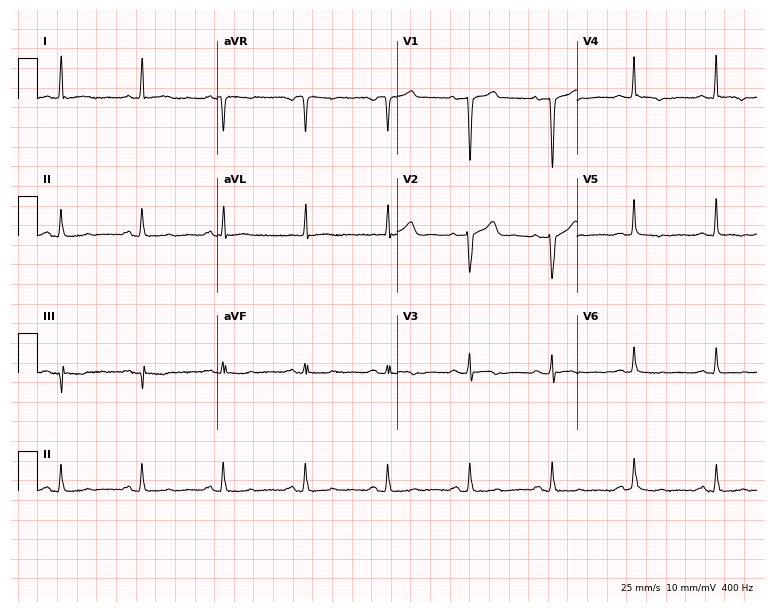
ECG — a male patient, 57 years old. Screened for six findings — first-degree AV block, right bundle branch block, left bundle branch block, sinus bradycardia, atrial fibrillation, sinus tachycardia — none is recorded. Other findings, if any, are not listed.